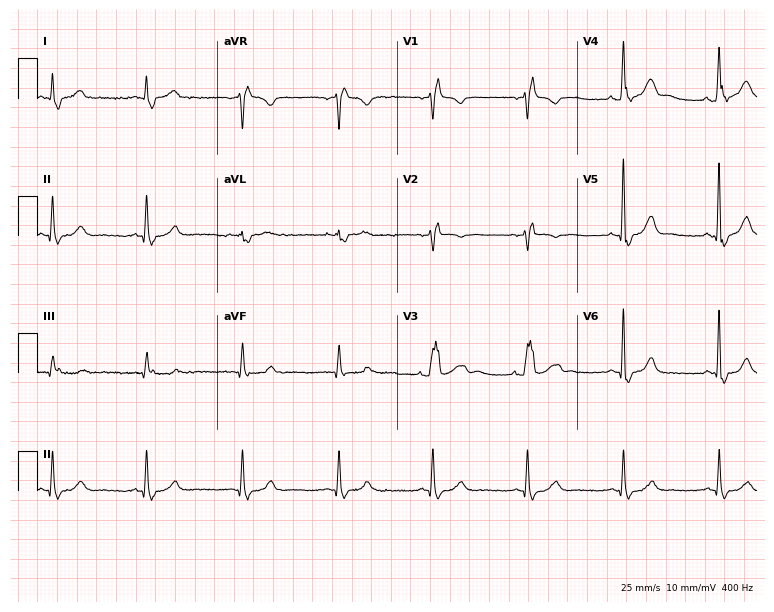
Standard 12-lead ECG recorded from a 67-year-old male patient (7.3-second recording at 400 Hz). The tracing shows right bundle branch block.